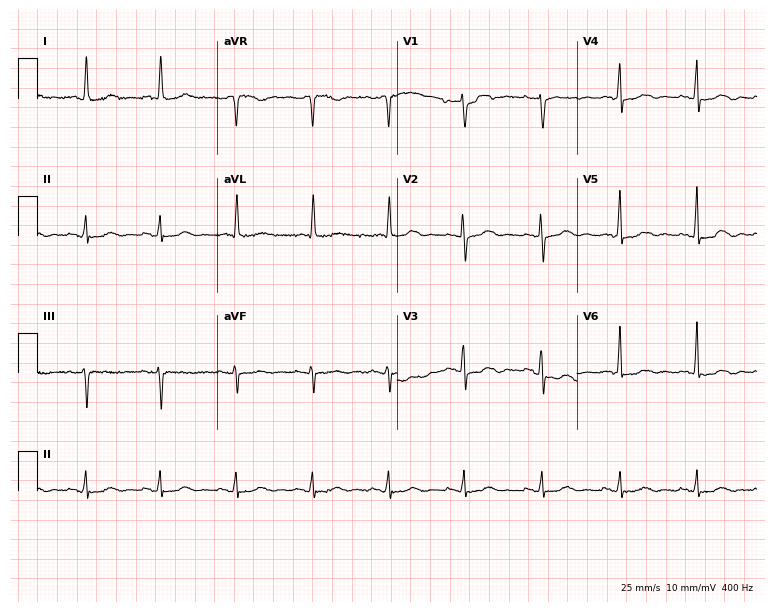
Electrocardiogram, a female patient, 80 years old. Of the six screened findings (first-degree AV block, right bundle branch block (RBBB), left bundle branch block (LBBB), sinus bradycardia, atrial fibrillation (AF), sinus tachycardia), none is recorded.